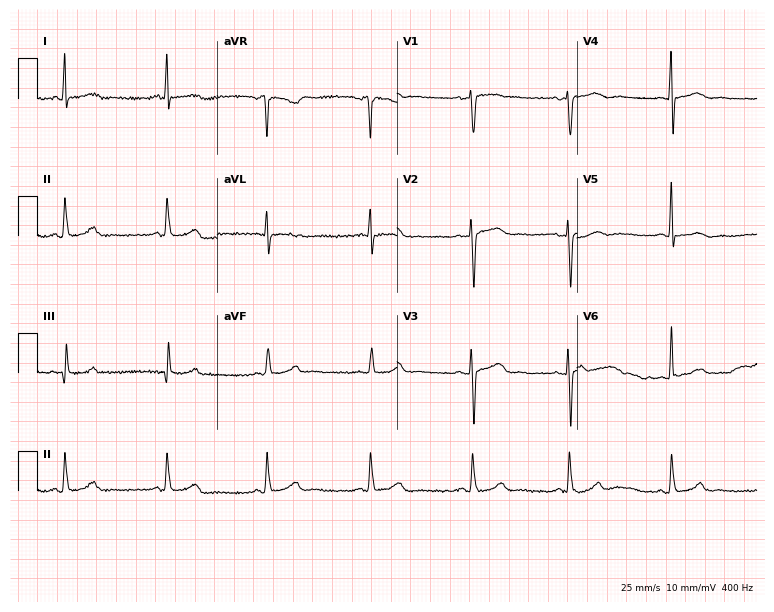
Standard 12-lead ECG recorded from a female patient, 42 years old. Read as a normal ECG.